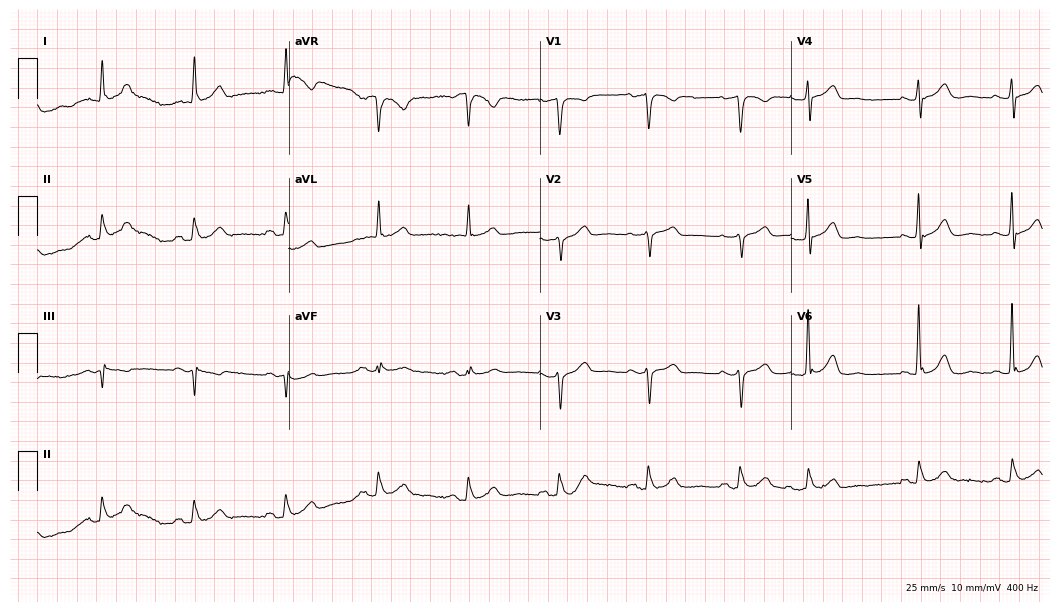
12-lead ECG from a male patient, 83 years old. Screened for six findings — first-degree AV block, right bundle branch block, left bundle branch block, sinus bradycardia, atrial fibrillation, sinus tachycardia — none is recorded. Only these six findings were labelled.